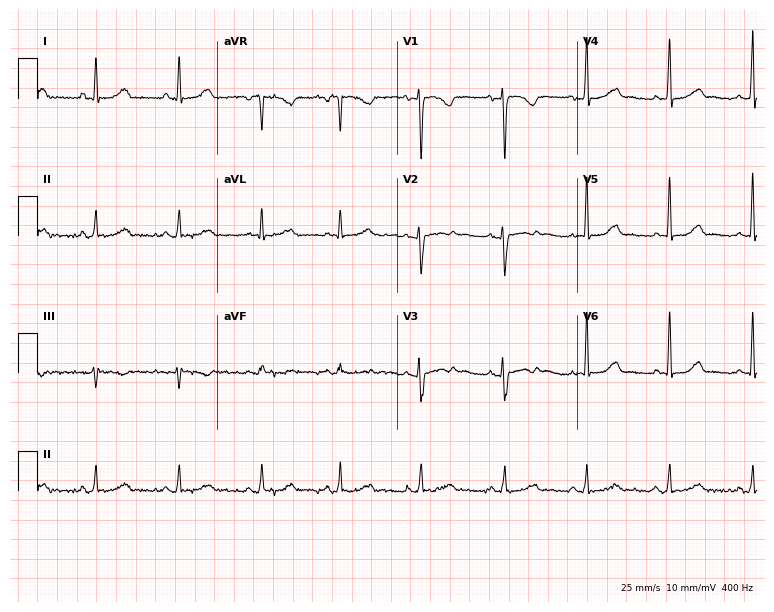
Electrocardiogram, a 24-year-old female patient. Overall reading on record: normal ECG.